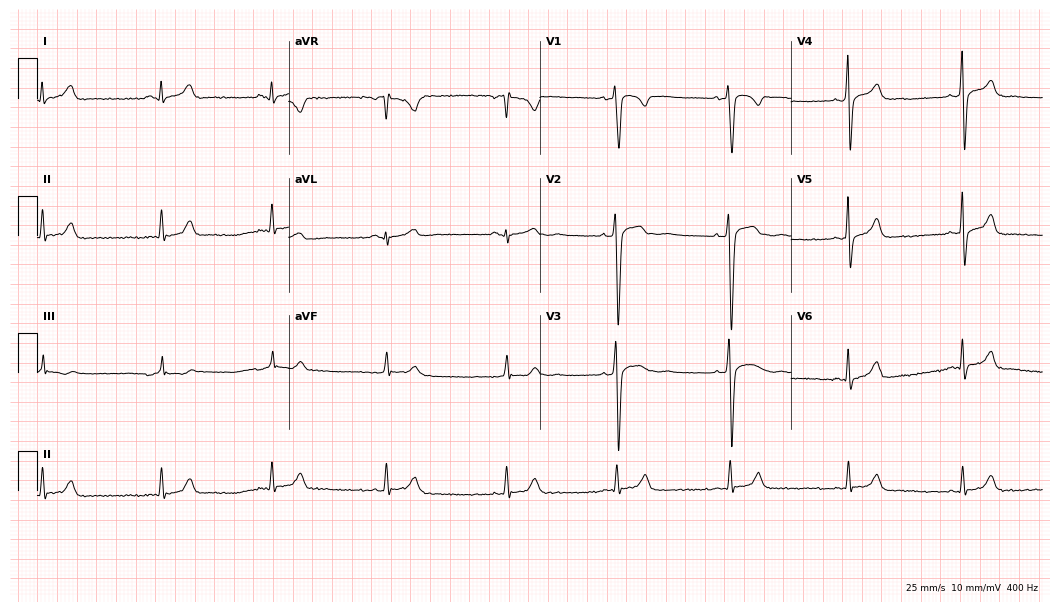
Standard 12-lead ECG recorded from an 18-year-old male. Read as a normal ECG.